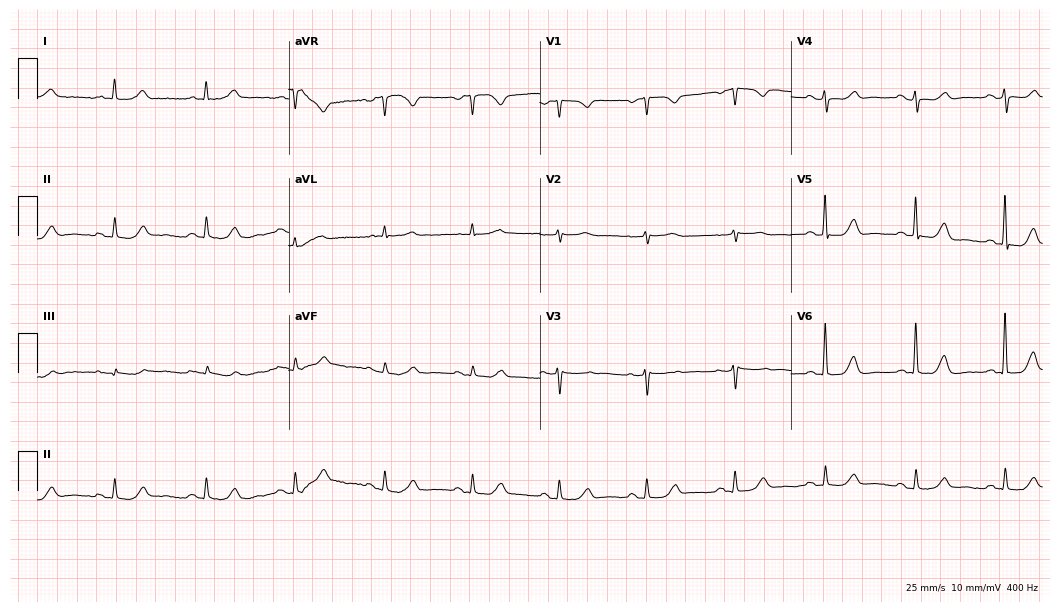
Standard 12-lead ECG recorded from a female, 76 years old. Read as a normal ECG.